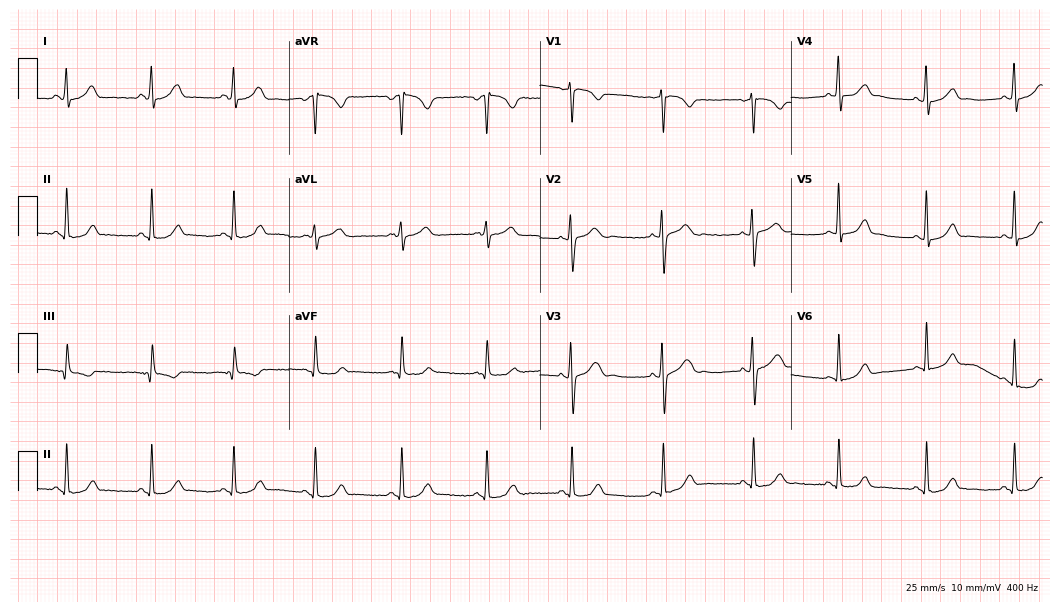
Resting 12-lead electrocardiogram (10.2-second recording at 400 Hz). Patient: a 34-year-old female. Read as a normal ECG.